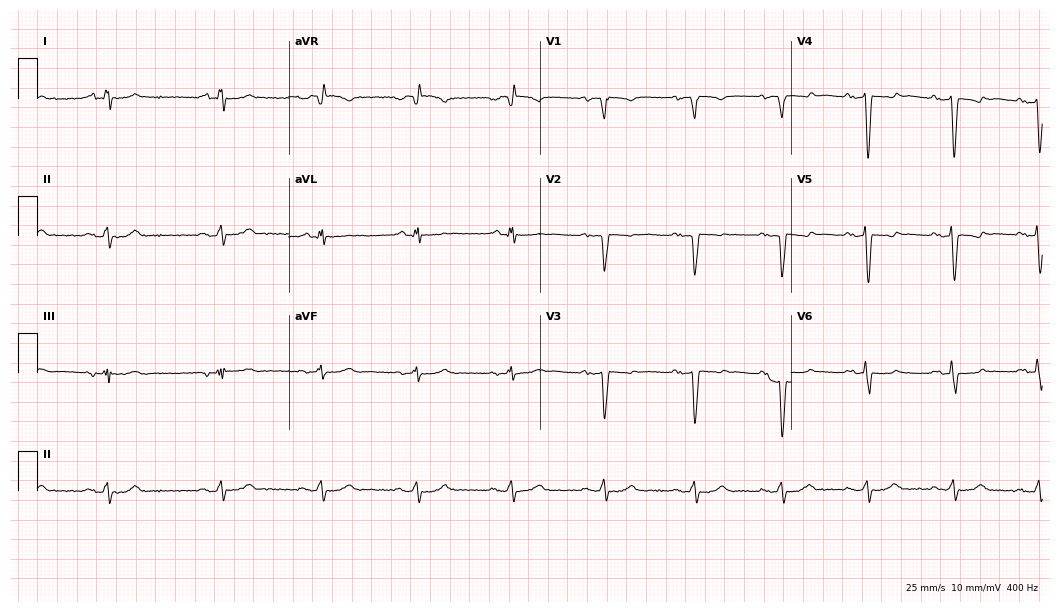
12-lead ECG from a man, 76 years old. No first-degree AV block, right bundle branch block, left bundle branch block, sinus bradycardia, atrial fibrillation or sinus tachycardia recorded for this tracing. Other findings, if any, are not listed.